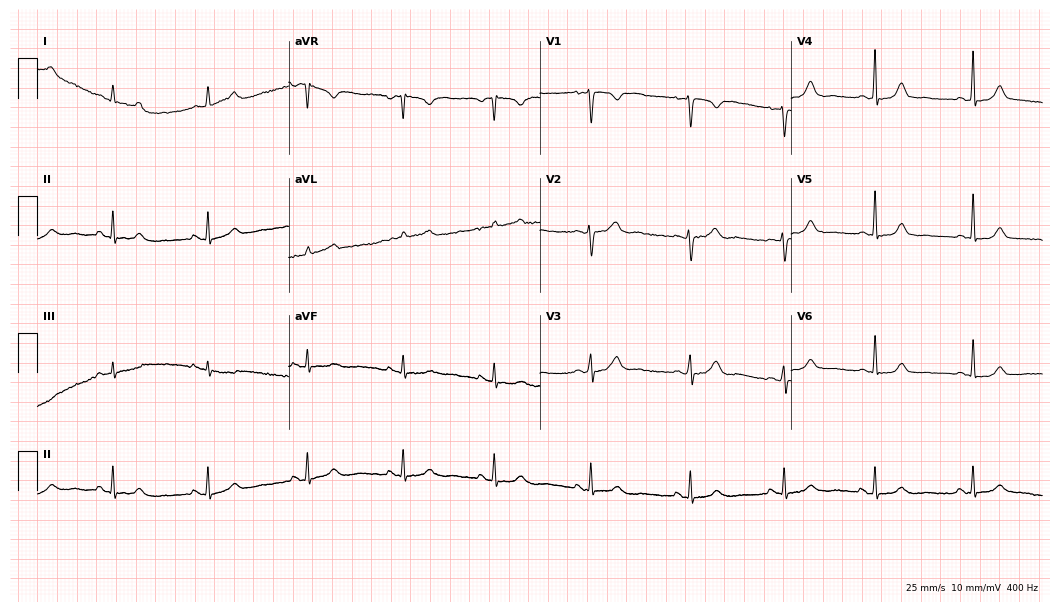
Standard 12-lead ECG recorded from a female patient, 41 years old. Read as a normal ECG.